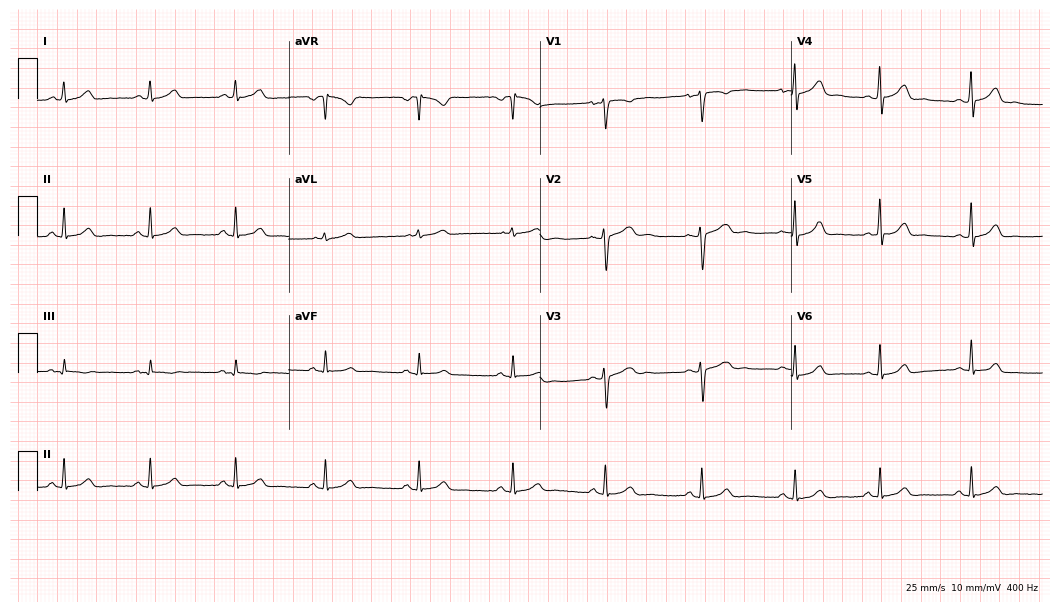
ECG — a female patient, 23 years old. Screened for six findings — first-degree AV block, right bundle branch block, left bundle branch block, sinus bradycardia, atrial fibrillation, sinus tachycardia — none is recorded. Findings outside these six are not listed.